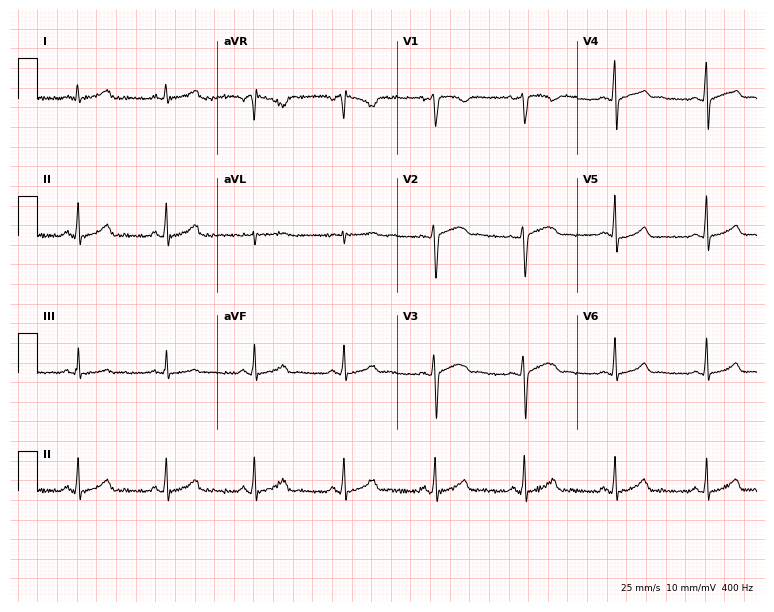
12-lead ECG (7.3-second recording at 400 Hz) from a 25-year-old woman. Screened for six findings — first-degree AV block, right bundle branch block, left bundle branch block, sinus bradycardia, atrial fibrillation, sinus tachycardia — none is recorded.